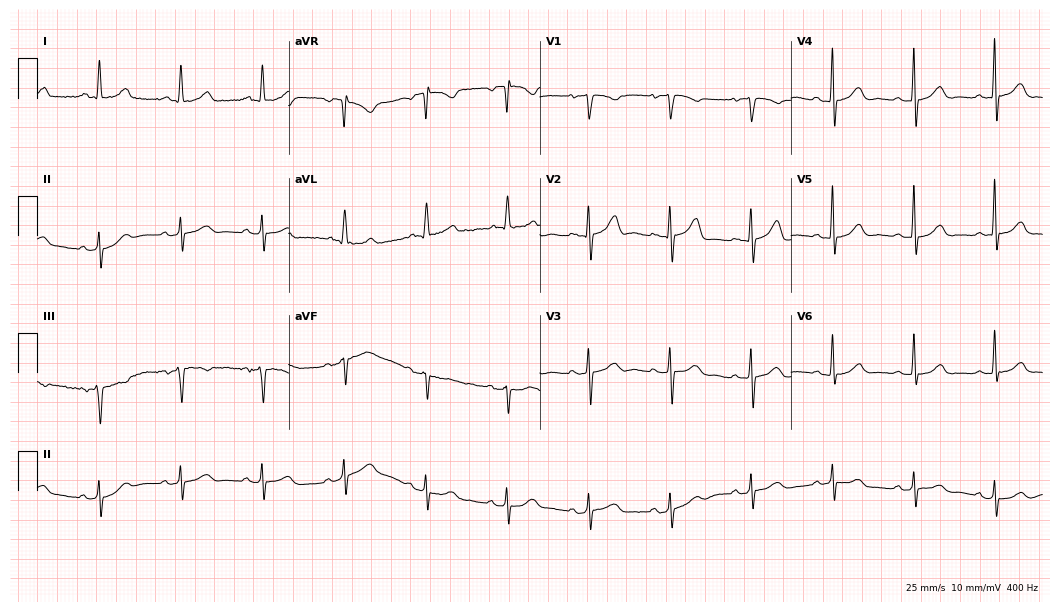
Electrocardiogram (10.2-second recording at 400 Hz), a female, 69 years old. Overall reading on record: normal ECG.